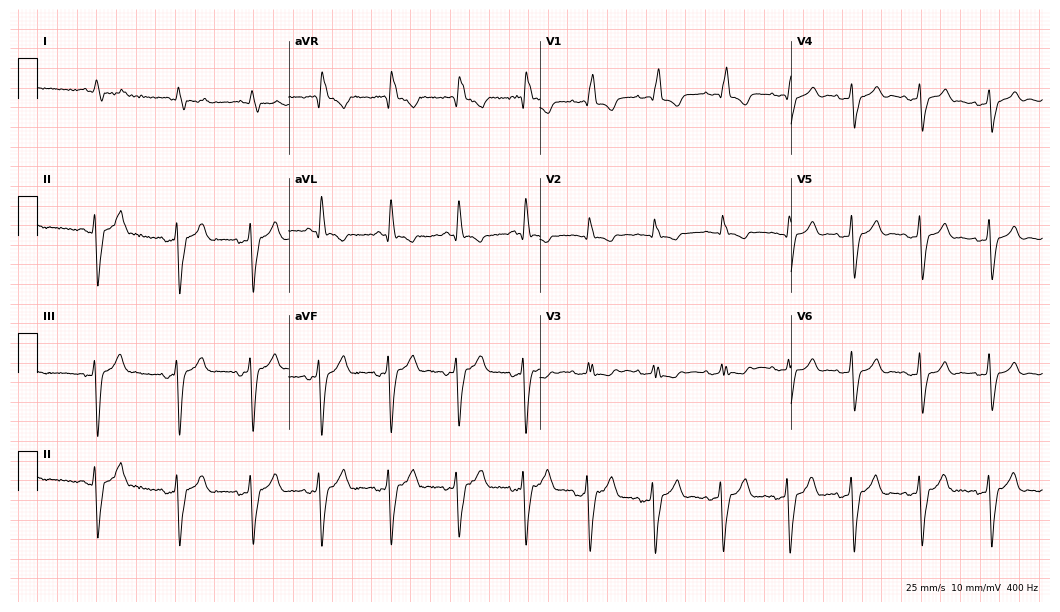
ECG — an 80-year-old female. Screened for six findings — first-degree AV block, right bundle branch block, left bundle branch block, sinus bradycardia, atrial fibrillation, sinus tachycardia — none is recorded. Other findings, if any, are not listed.